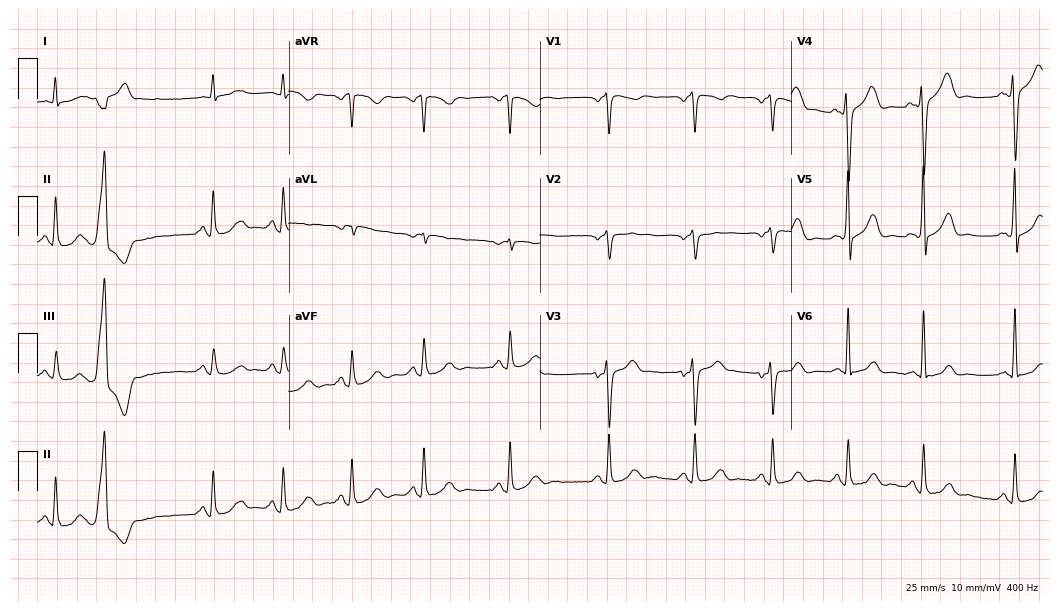
12-lead ECG from a man, 43 years old. Screened for six findings — first-degree AV block, right bundle branch block (RBBB), left bundle branch block (LBBB), sinus bradycardia, atrial fibrillation (AF), sinus tachycardia — none is recorded. Other findings, if any, are not listed.